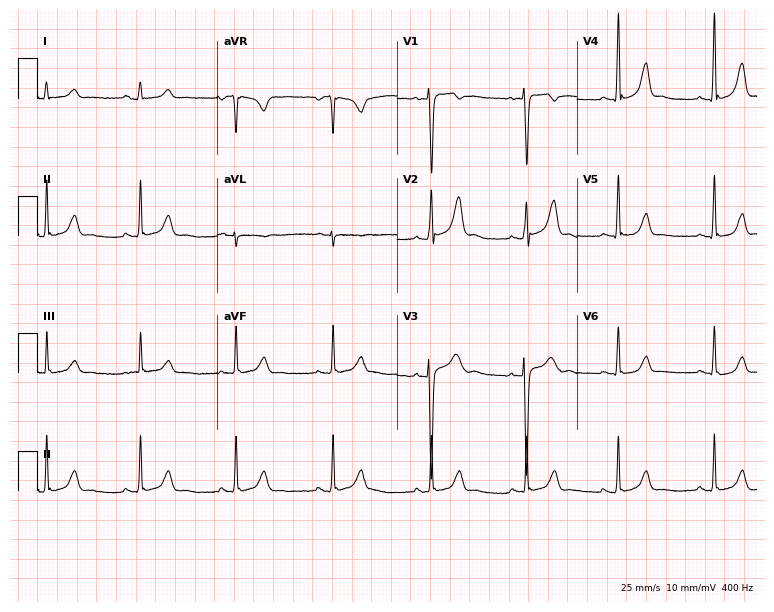
Resting 12-lead electrocardiogram. Patient: a 20-year-old female. Read as a normal ECG.